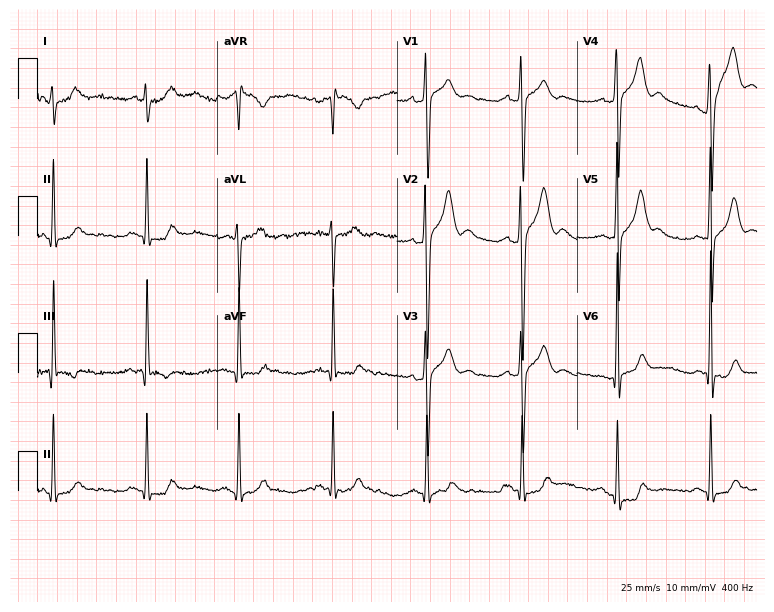
12-lead ECG from a 34-year-old male. Screened for six findings — first-degree AV block, right bundle branch block, left bundle branch block, sinus bradycardia, atrial fibrillation, sinus tachycardia — none is recorded. Findings outside these six are not listed.